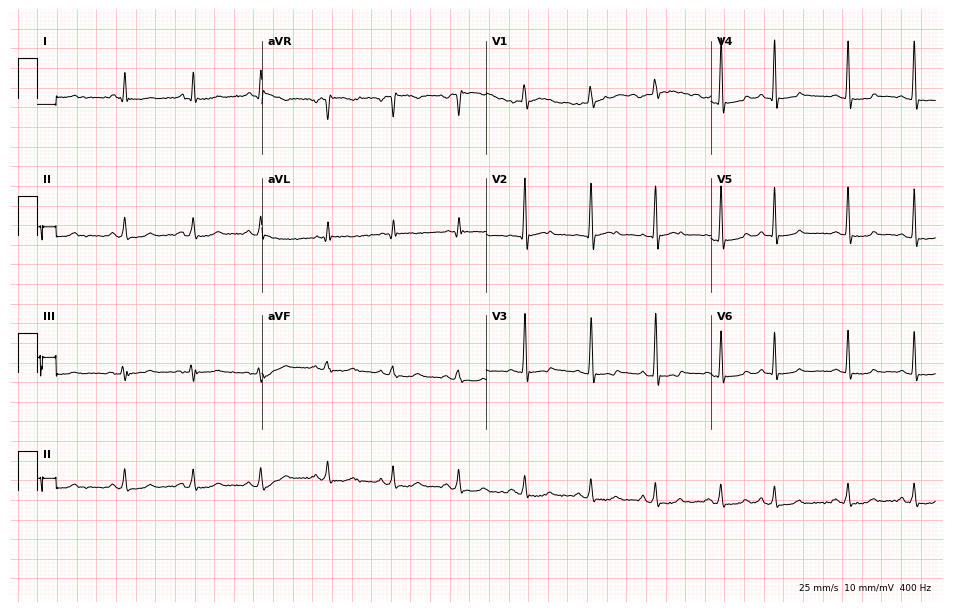
Standard 12-lead ECG recorded from a male, 55 years old (9.2-second recording at 400 Hz). None of these six findings is recorded: first-degree AV block, right bundle branch block (RBBB), left bundle branch block (LBBB), sinus bradycardia, atrial fibrillation (AF), sinus tachycardia.